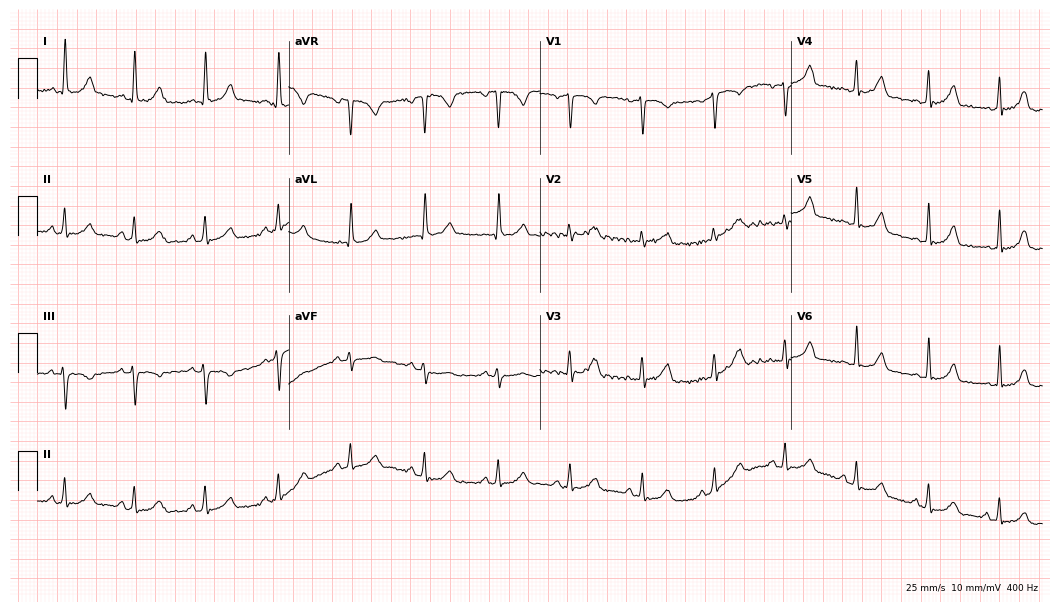
12-lead ECG (10.2-second recording at 400 Hz) from a female, 41 years old. Labelled as a normal ECG.